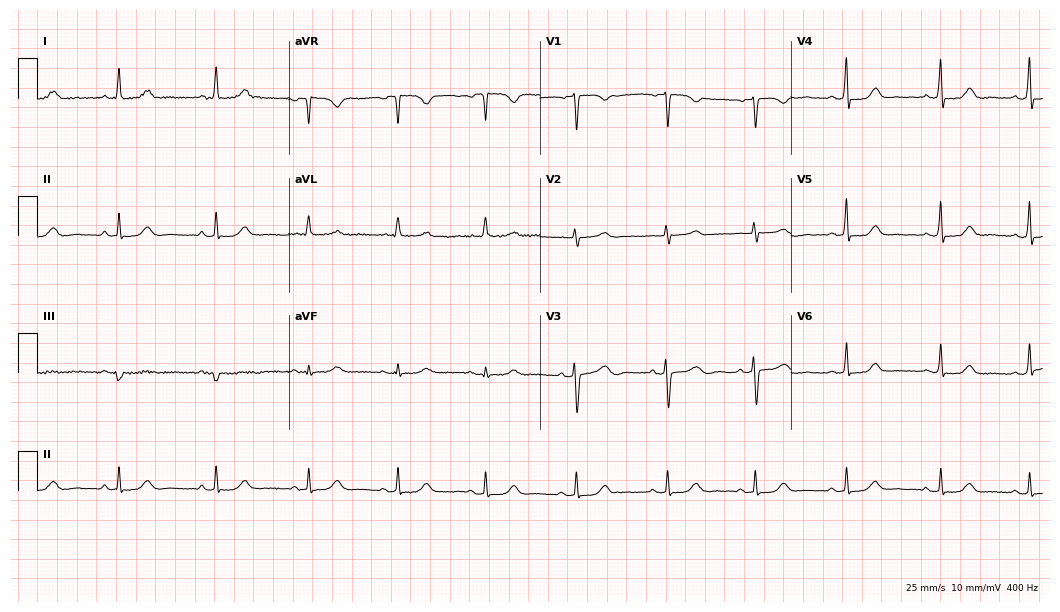
Resting 12-lead electrocardiogram. Patient: a woman, 63 years old. Read as a normal ECG.